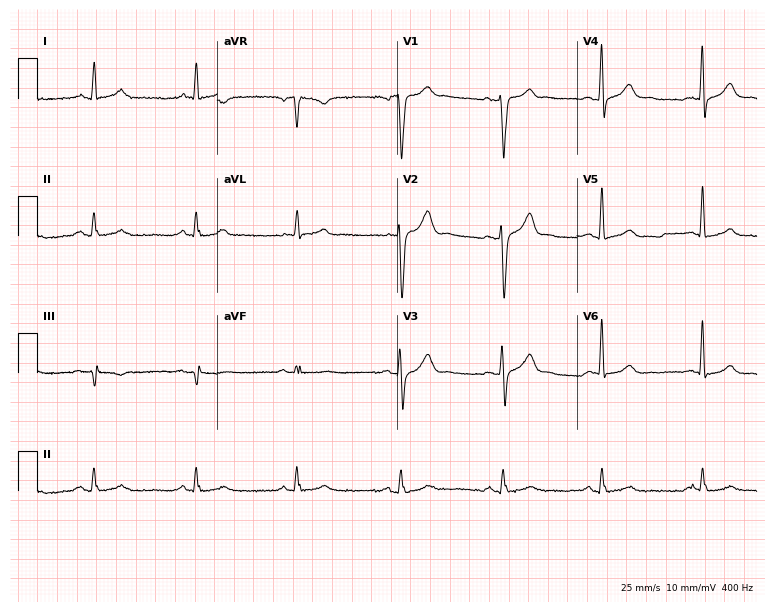
ECG — a male, 57 years old. Screened for six findings — first-degree AV block, right bundle branch block, left bundle branch block, sinus bradycardia, atrial fibrillation, sinus tachycardia — none is recorded.